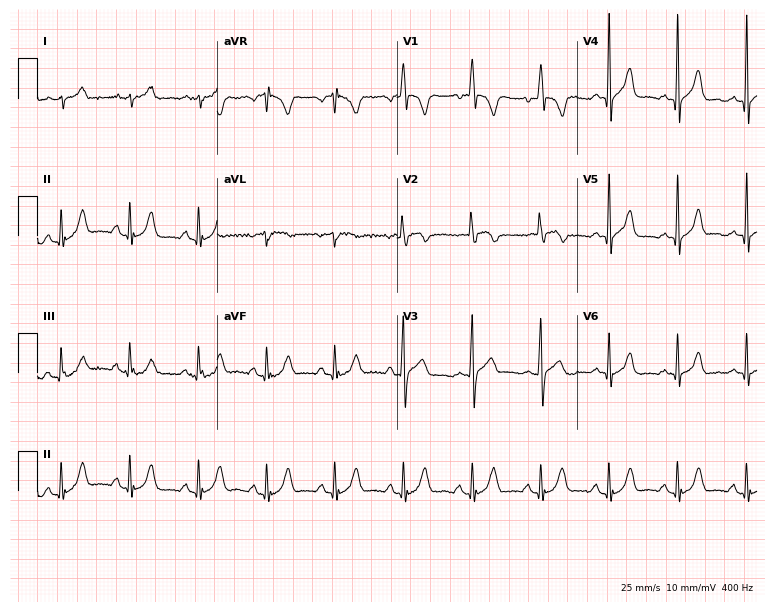
Standard 12-lead ECG recorded from a man, 45 years old. None of these six findings is recorded: first-degree AV block, right bundle branch block, left bundle branch block, sinus bradycardia, atrial fibrillation, sinus tachycardia. Only these six findings were labelled.